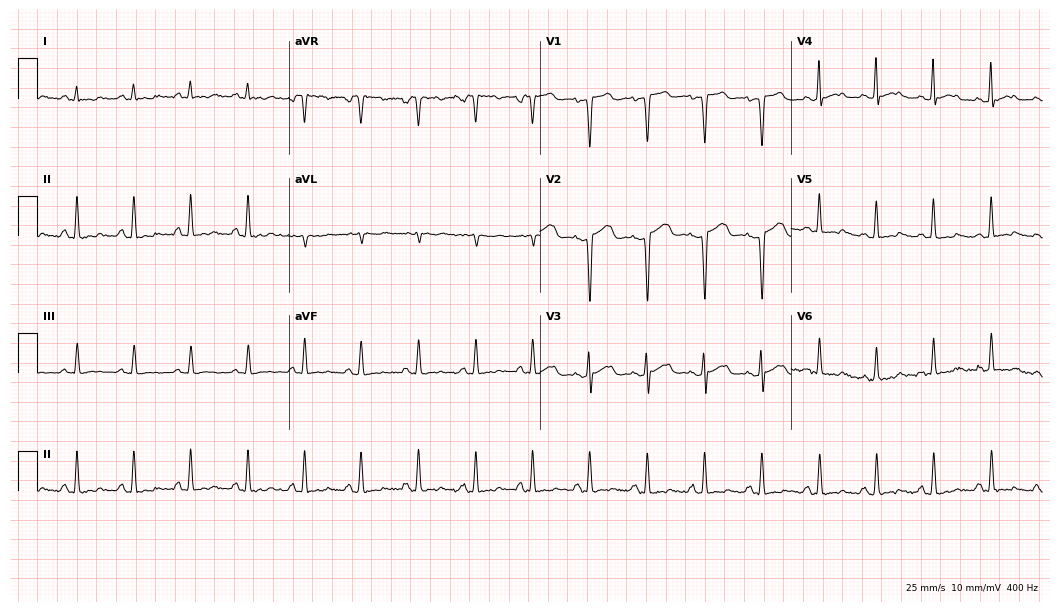
Standard 12-lead ECG recorded from a 21-year-old female (10.2-second recording at 400 Hz). The tracing shows sinus tachycardia (a sinus rate of 100 beats per minute or more).